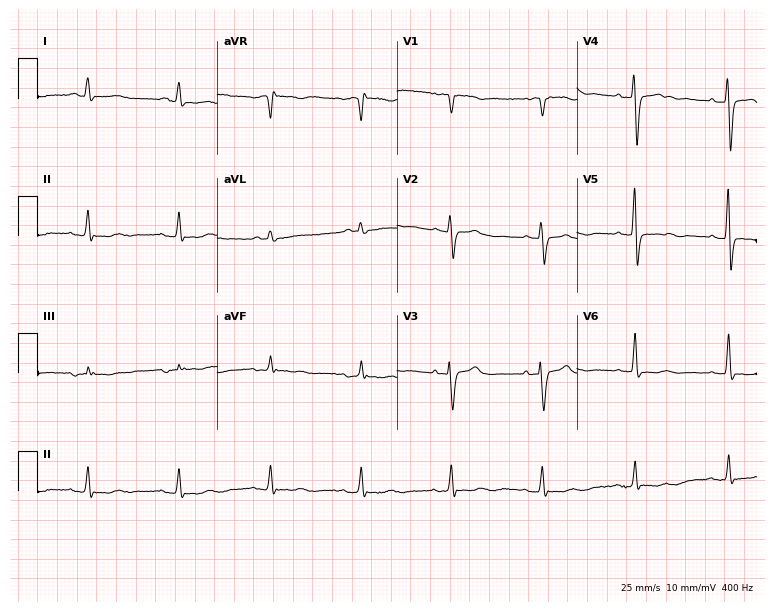
12-lead ECG (7.3-second recording at 400 Hz) from a woman, 80 years old. Screened for six findings — first-degree AV block, right bundle branch block, left bundle branch block, sinus bradycardia, atrial fibrillation, sinus tachycardia — none is recorded.